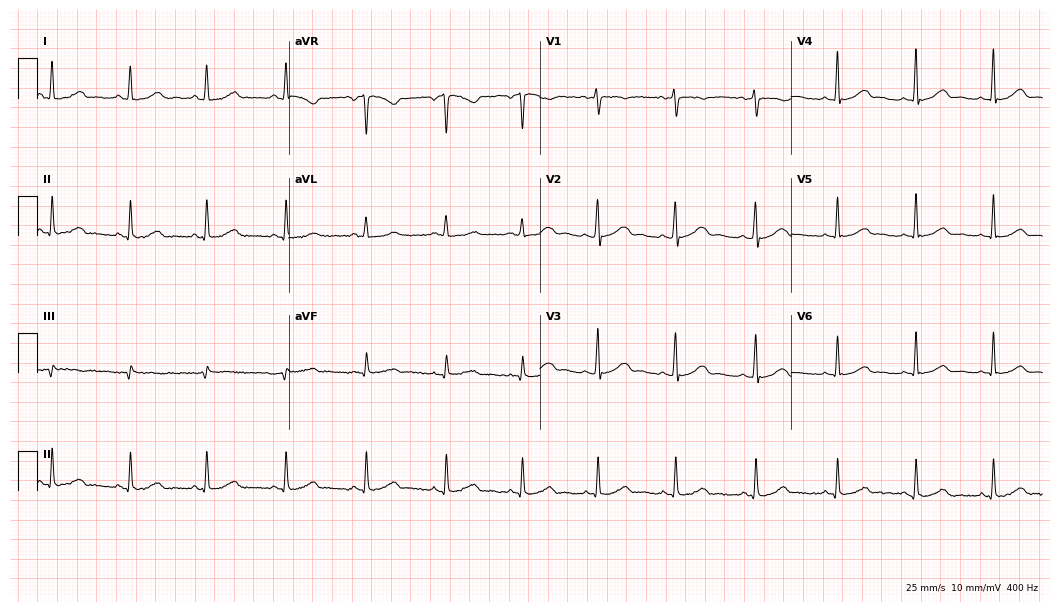
Standard 12-lead ECG recorded from a 25-year-old woman. Read as a normal ECG.